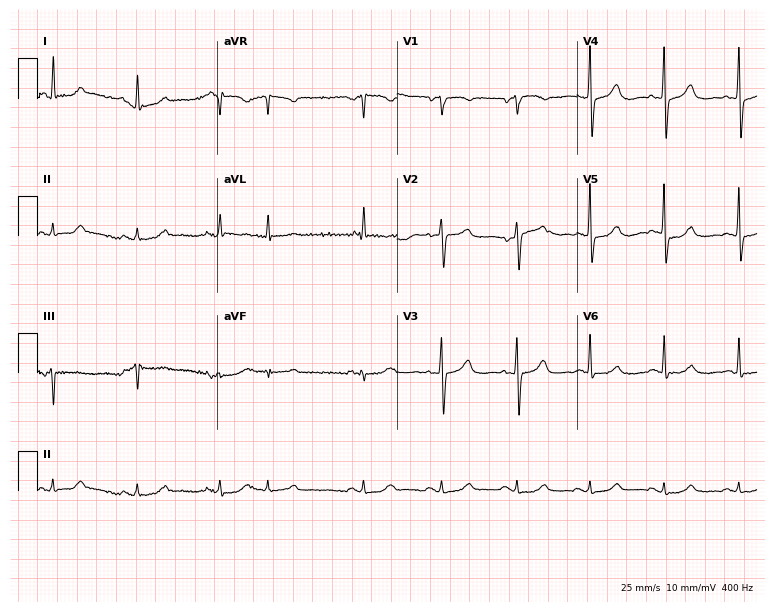
ECG — a 70-year-old male. Screened for six findings — first-degree AV block, right bundle branch block (RBBB), left bundle branch block (LBBB), sinus bradycardia, atrial fibrillation (AF), sinus tachycardia — none is recorded.